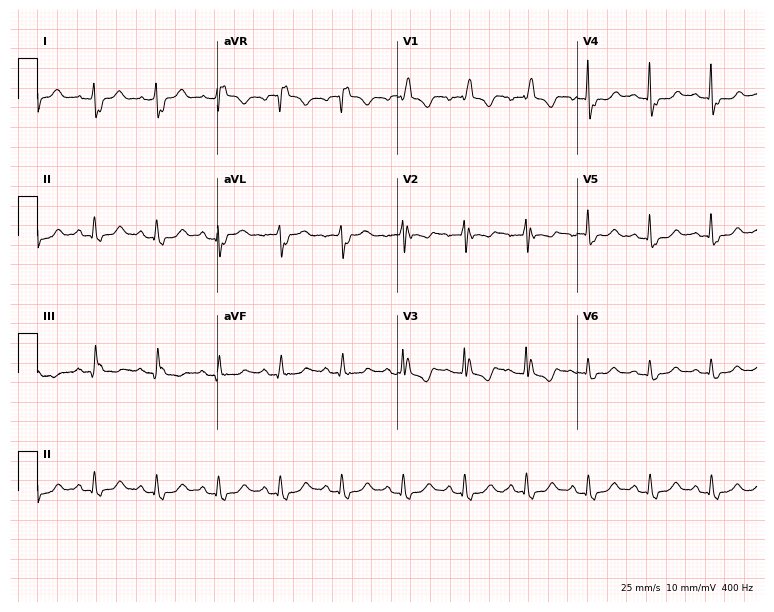
12-lead ECG from a 57-year-old female. Findings include right bundle branch block (RBBB).